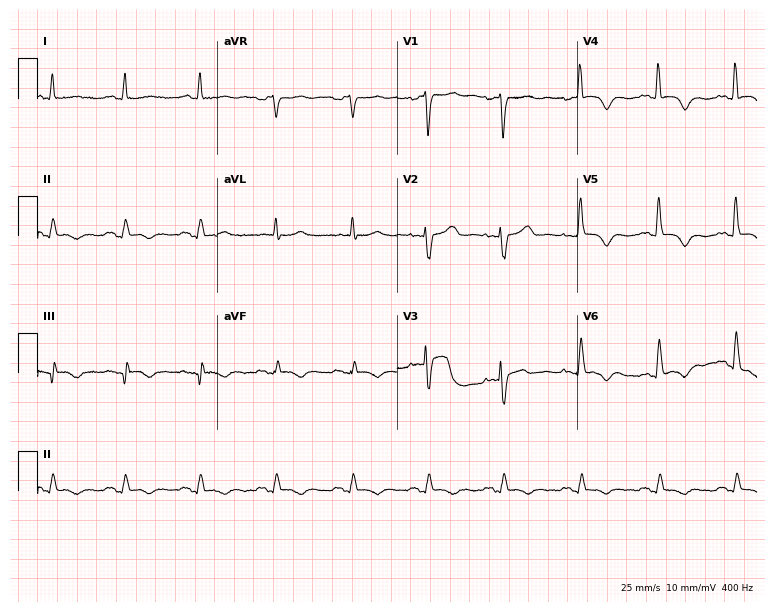
Standard 12-lead ECG recorded from a woman, 82 years old. None of these six findings is recorded: first-degree AV block, right bundle branch block, left bundle branch block, sinus bradycardia, atrial fibrillation, sinus tachycardia.